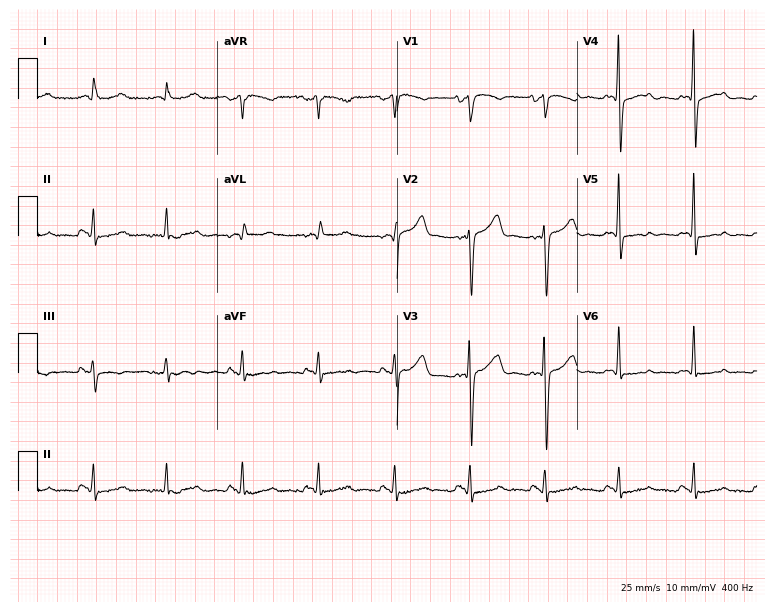
12-lead ECG from a male, 69 years old. Screened for six findings — first-degree AV block, right bundle branch block (RBBB), left bundle branch block (LBBB), sinus bradycardia, atrial fibrillation (AF), sinus tachycardia — none is recorded.